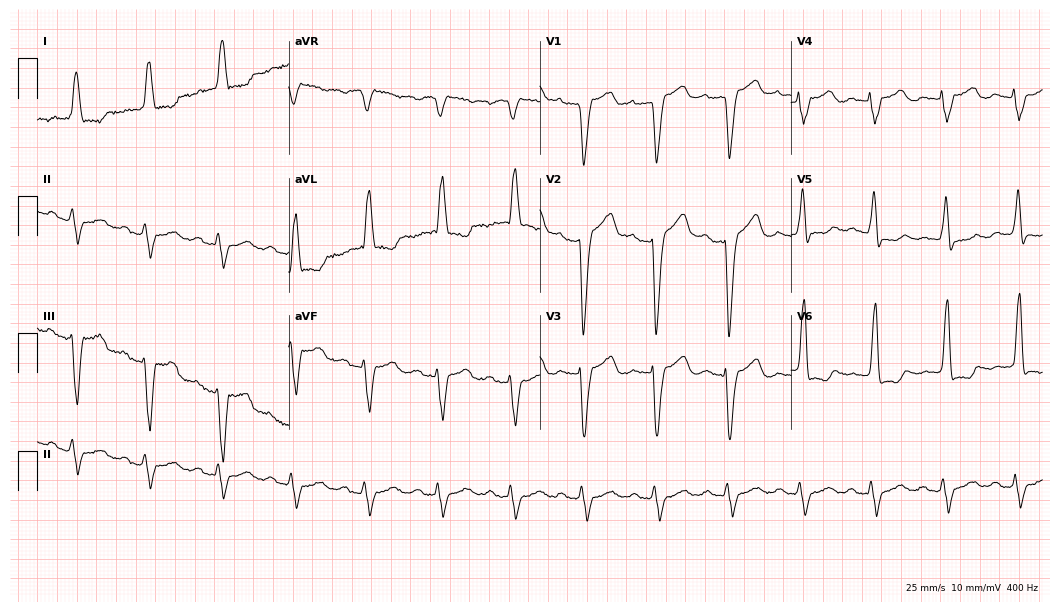
Electrocardiogram, a 72-year-old female patient. Interpretation includes first-degree AV block, left bundle branch block.